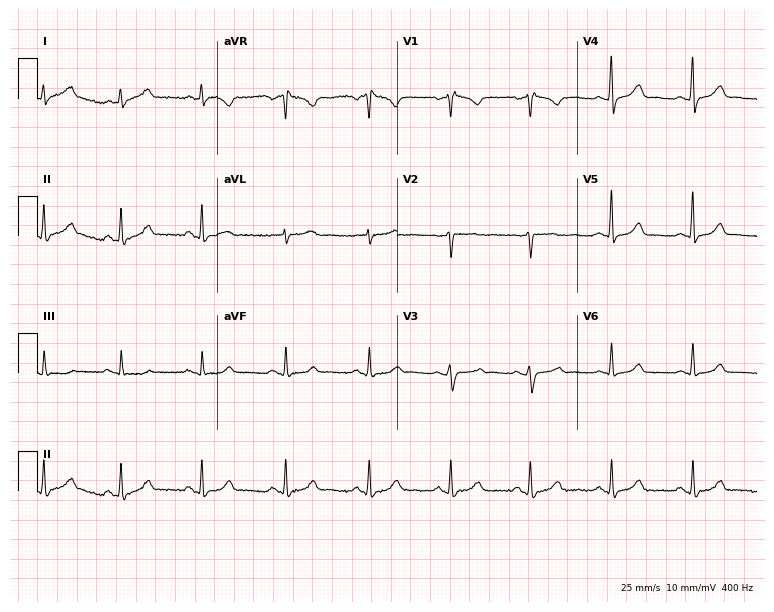
12-lead ECG from a female patient, 43 years old. Recorded interpretation: within normal limits.